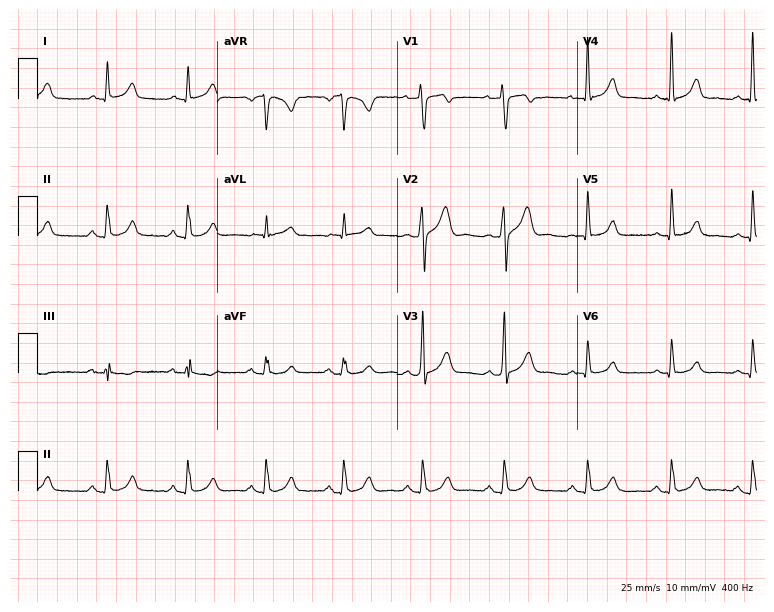
12-lead ECG from a male patient, 36 years old. Recorded interpretation: within normal limits.